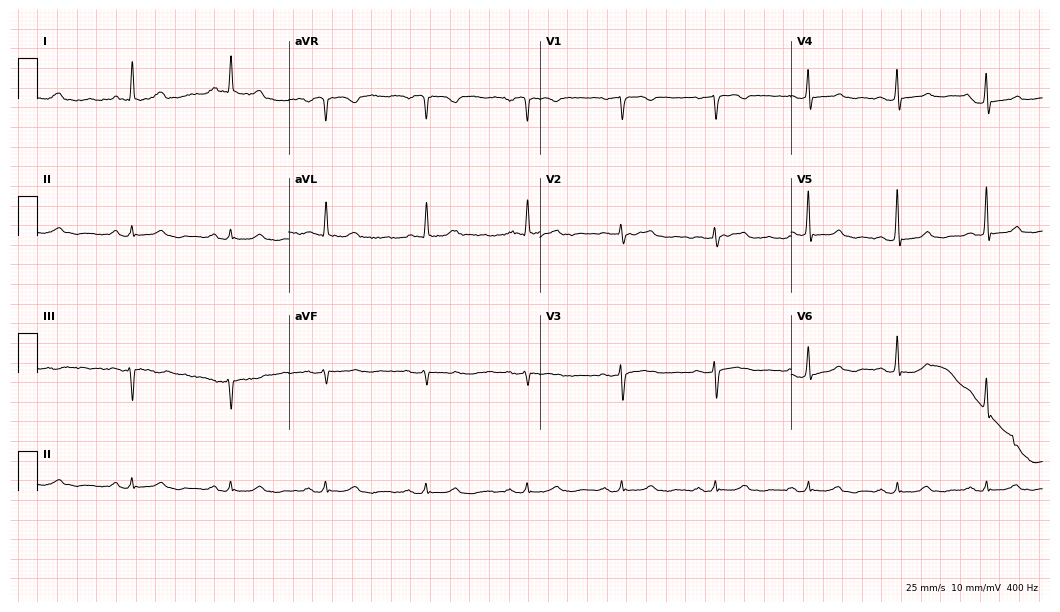
Standard 12-lead ECG recorded from a 74-year-old female. None of these six findings is recorded: first-degree AV block, right bundle branch block, left bundle branch block, sinus bradycardia, atrial fibrillation, sinus tachycardia.